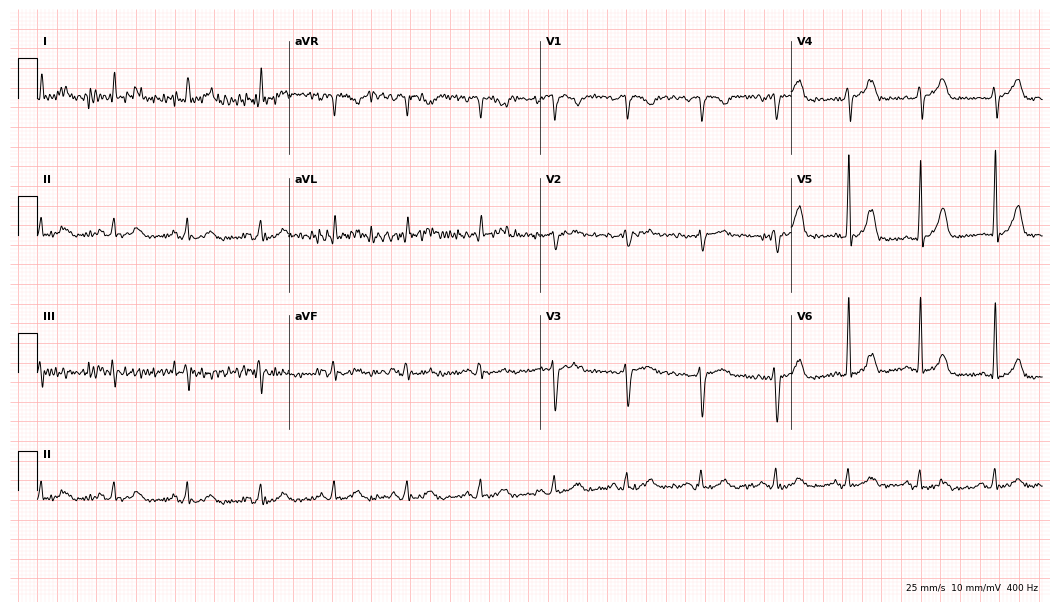
Resting 12-lead electrocardiogram (10.2-second recording at 400 Hz). Patient: a male, 51 years old. None of these six findings is recorded: first-degree AV block, right bundle branch block, left bundle branch block, sinus bradycardia, atrial fibrillation, sinus tachycardia. Findings outside these six are not listed.